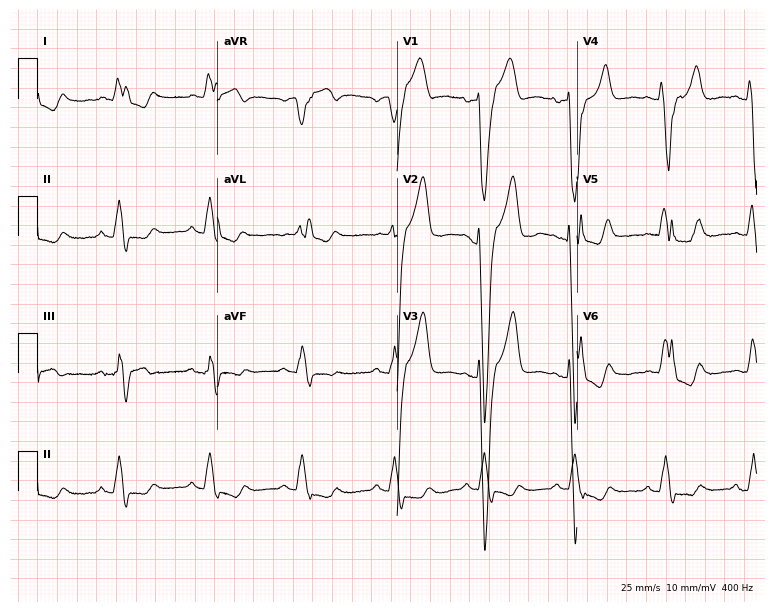
ECG (7.3-second recording at 400 Hz) — a man, 78 years old. Findings include left bundle branch block (LBBB).